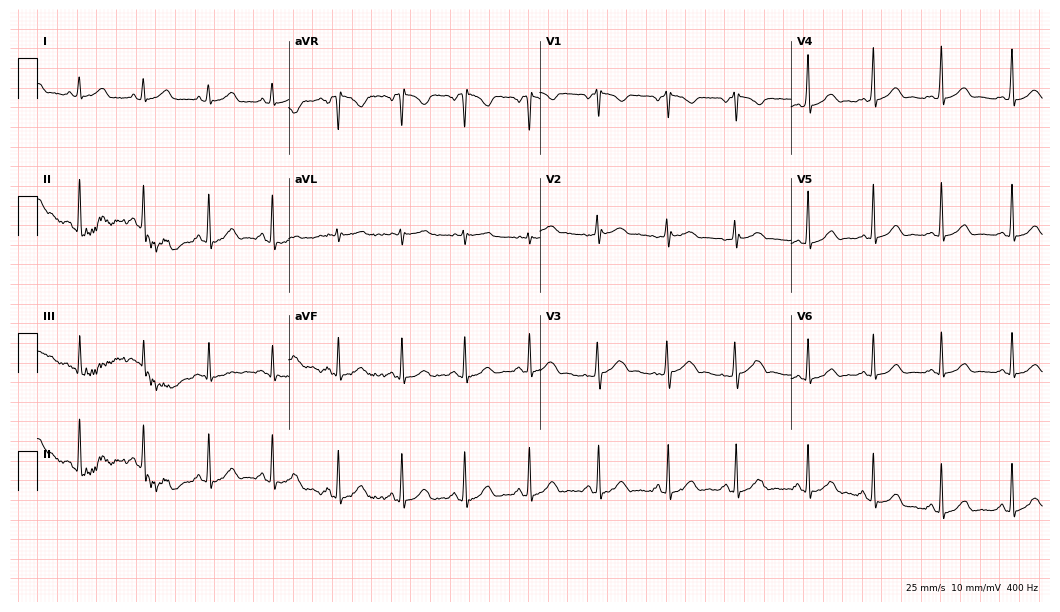
12-lead ECG from a 37-year-old female. Recorded interpretation: within normal limits.